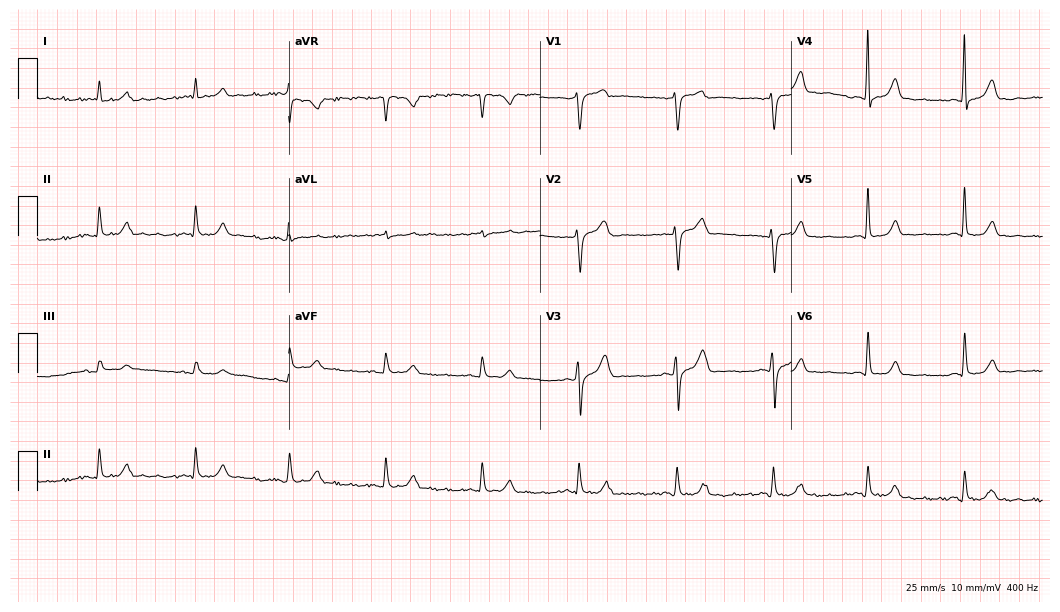
Standard 12-lead ECG recorded from a male, 71 years old. Read as a normal ECG.